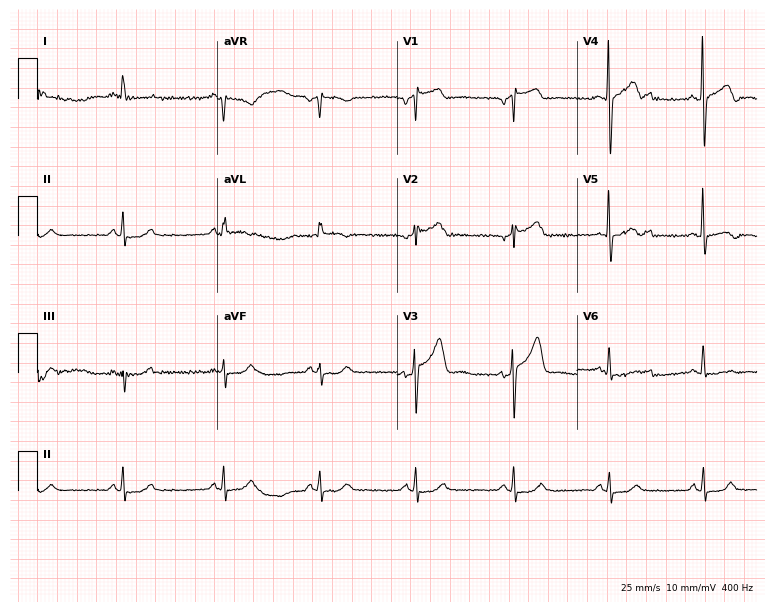
12-lead ECG from a man, 63 years old (7.3-second recording at 400 Hz). No first-degree AV block, right bundle branch block (RBBB), left bundle branch block (LBBB), sinus bradycardia, atrial fibrillation (AF) or sinus tachycardia recorded for this tracing.